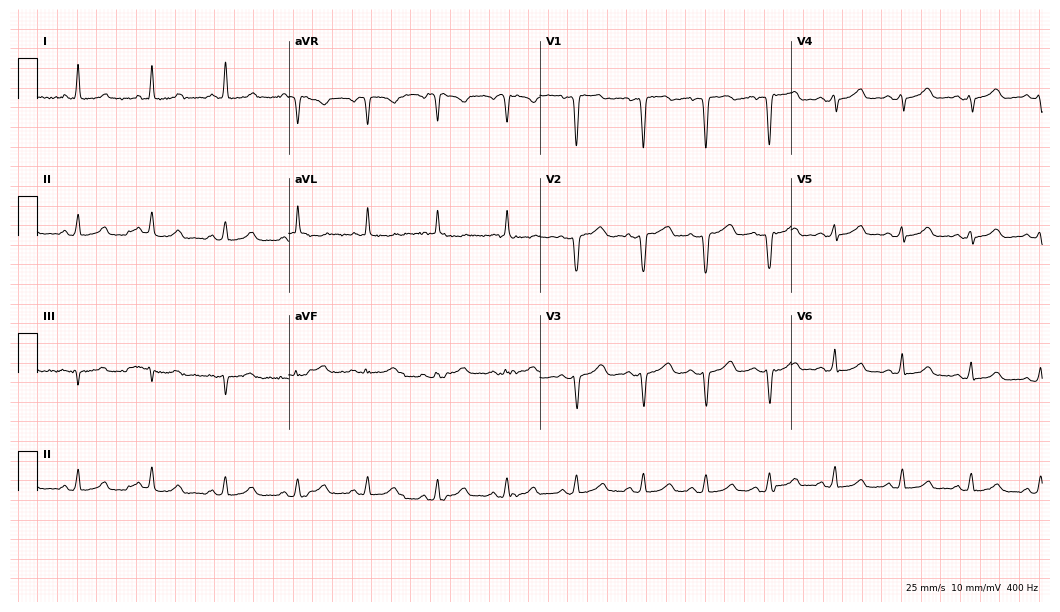
ECG — a female, 47 years old. Labelled as a normal ECG.